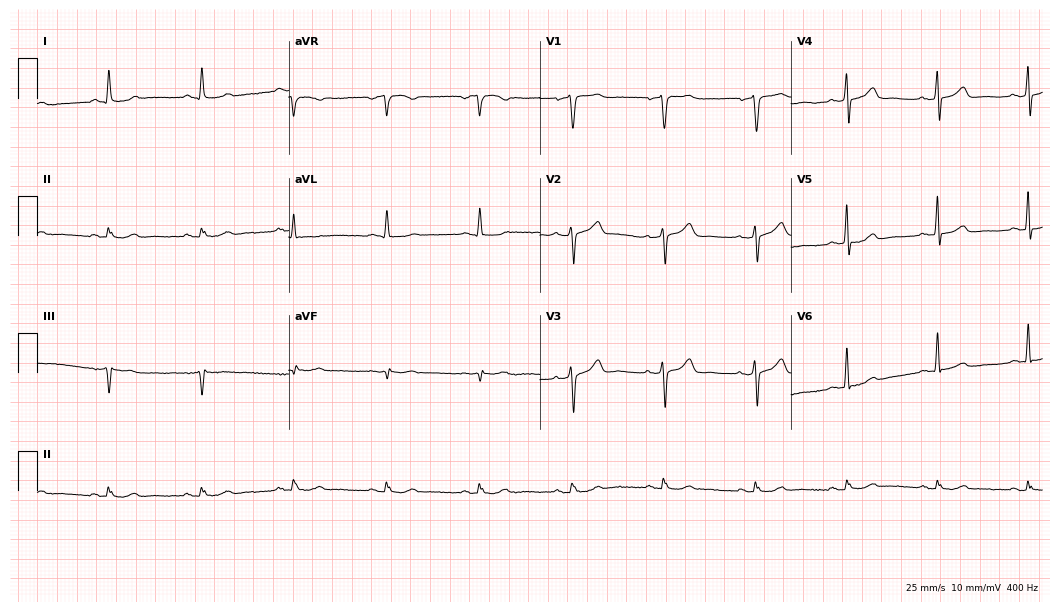
12-lead ECG (10.2-second recording at 400 Hz) from a 75-year-old man. Screened for six findings — first-degree AV block, right bundle branch block, left bundle branch block, sinus bradycardia, atrial fibrillation, sinus tachycardia — none is recorded. Findings outside these six are not listed.